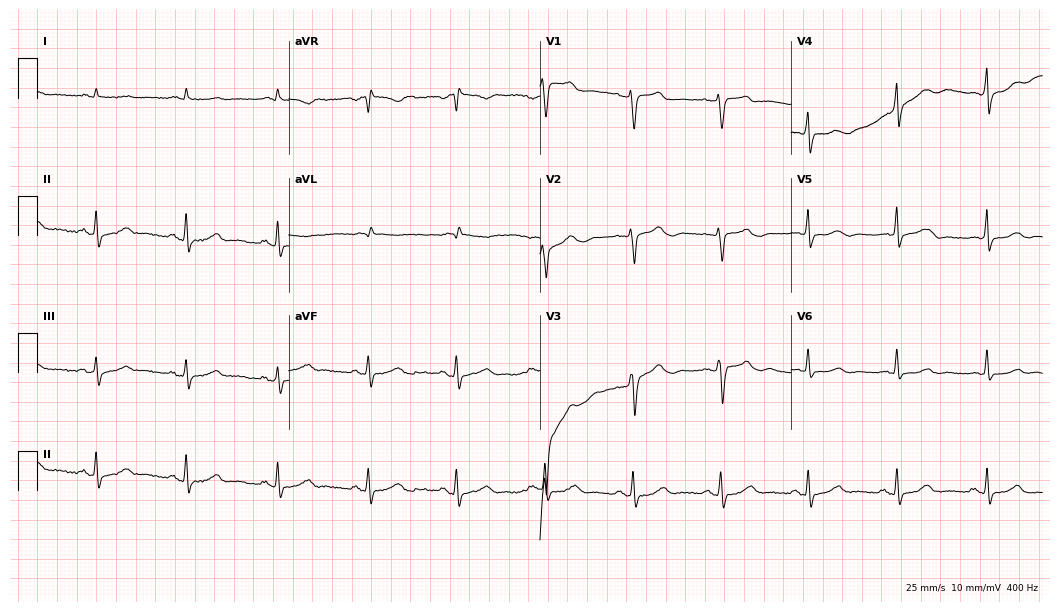
12-lead ECG from a 66-year-old woman. No first-degree AV block, right bundle branch block (RBBB), left bundle branch block (LBBB), sinus bradycardia, atrial fibrillation (AF) or sinus tachycardia recorded for this tracing. Only these six findings were labelled.